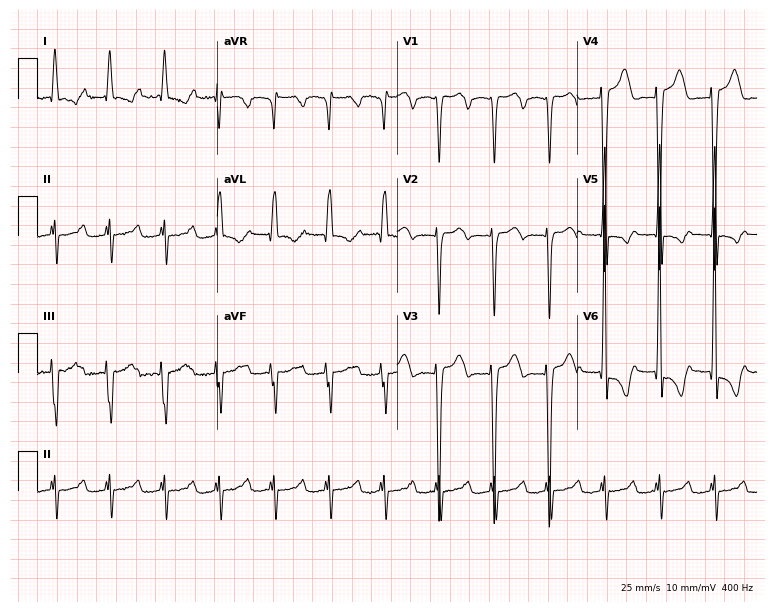
12-lead ECG from a 78-year-old female patient. Findings include sinus tachycardia (a sinus rate of 100 beats per minute or more).